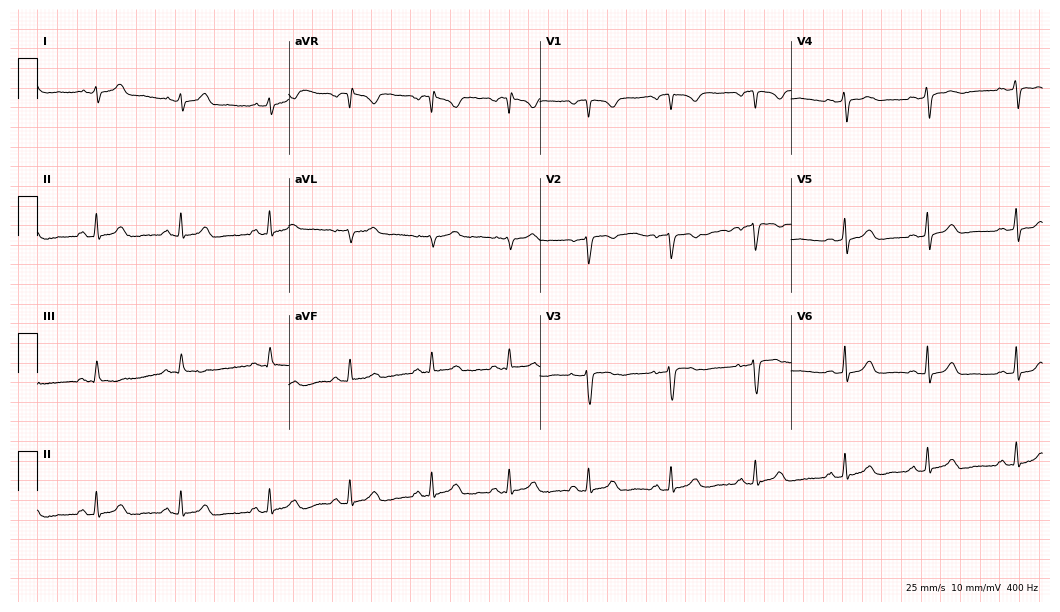
Electrocardiogram, a 31-year-old female patient. Overall reading on record: normal ECG.